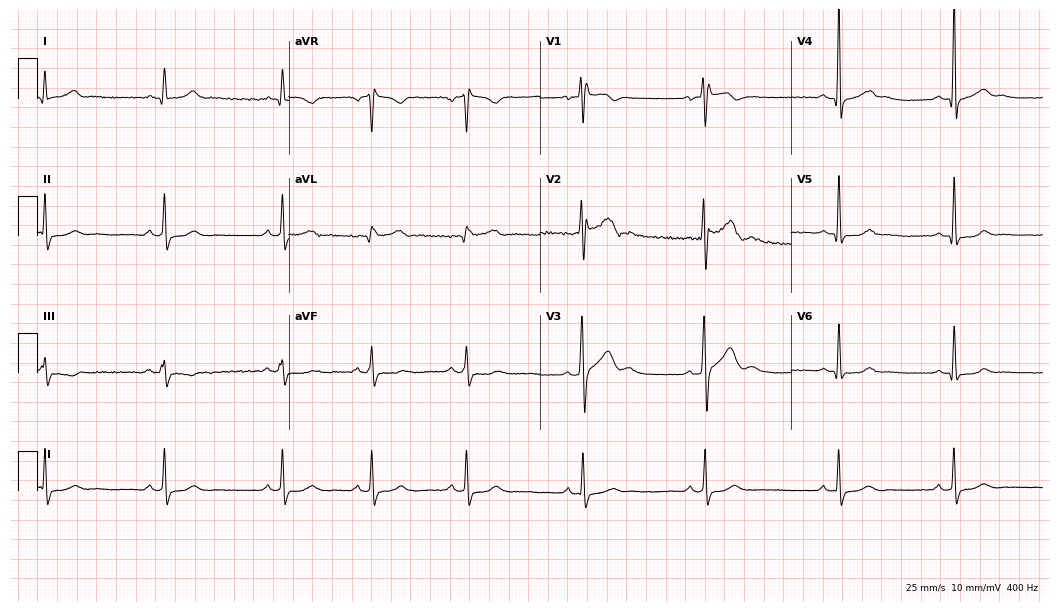
Standard 12-lead ECG recorded from a 20-year-old man (10.2-second recording at 400 Hz). None of these six findings is recorded: first-degree AV block, right bundle branch block, left bundle branch block, sinus bradycardia, atrial fibrillation, sinus tachycardia.